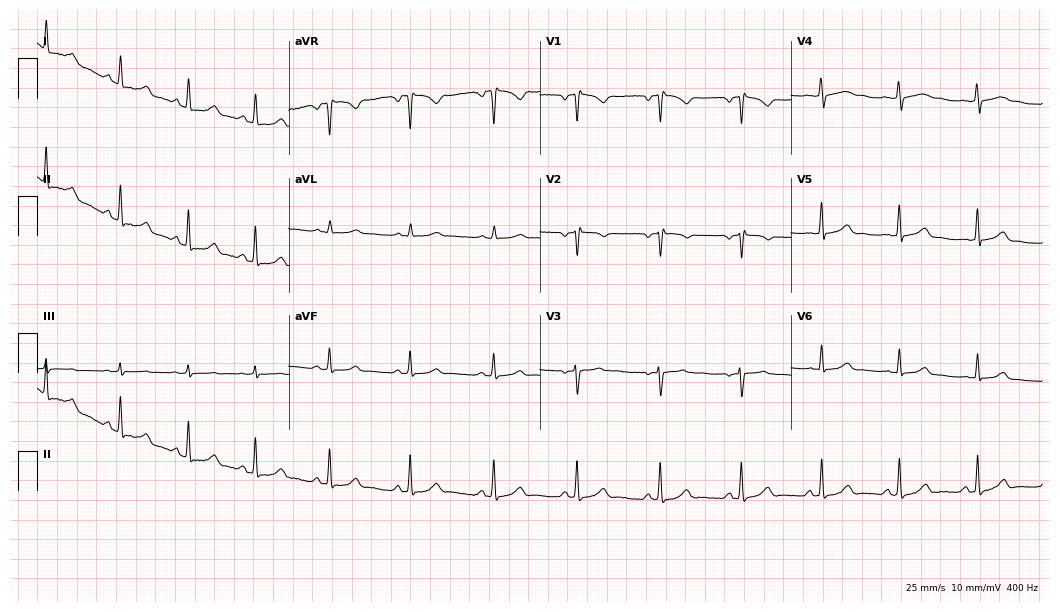
Electrocardiogram, a 28-year-old female patient. Overall reading on record: normal ECG.